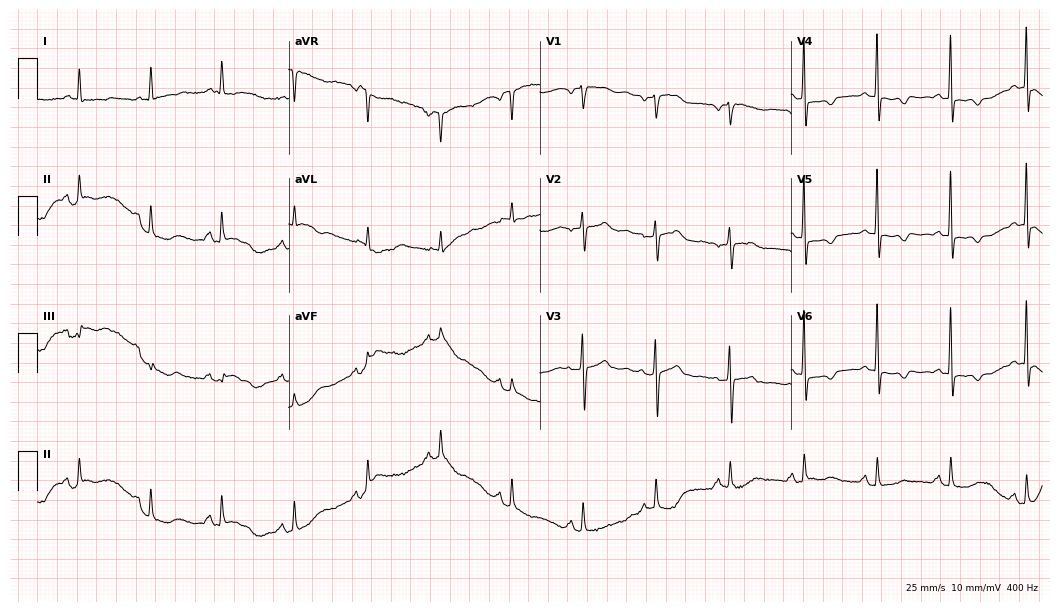
12-lead ECG from a female patient, 79 years old. Screened for six findings — first-degree AV block, right bundle branch block, left bundle branch block, sinus bradycardia, atrial fibrillation, sinus tachycardia — none is recorded.